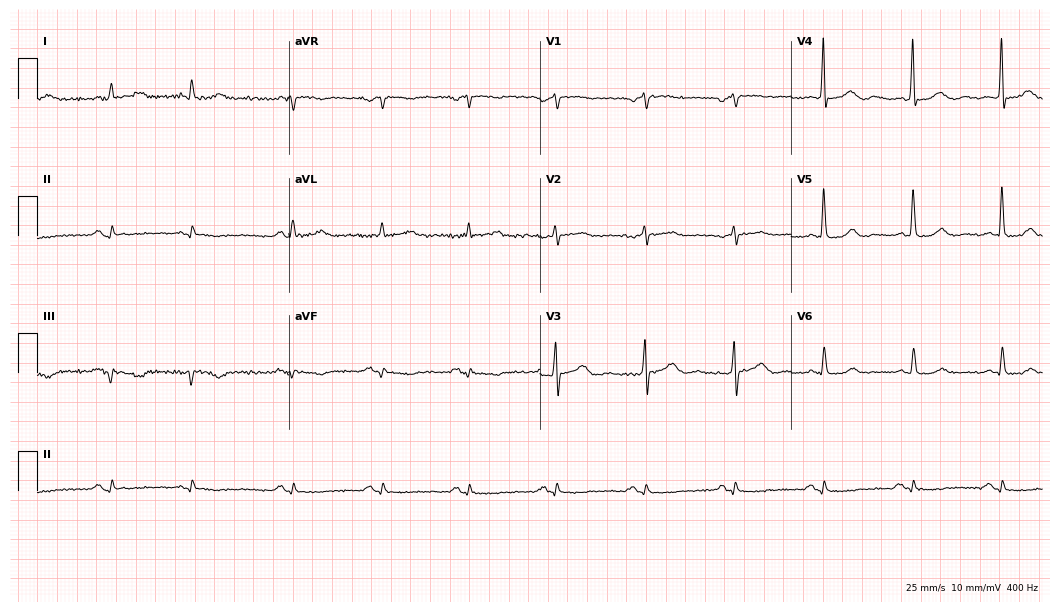
12-lead ECG from a 70-year-old man. No first-degree AV block, right bundle branch block, left bundle branch block, sinus bradycardia, atrial fibrillation or sinus tachycardia recorded for this tracing.